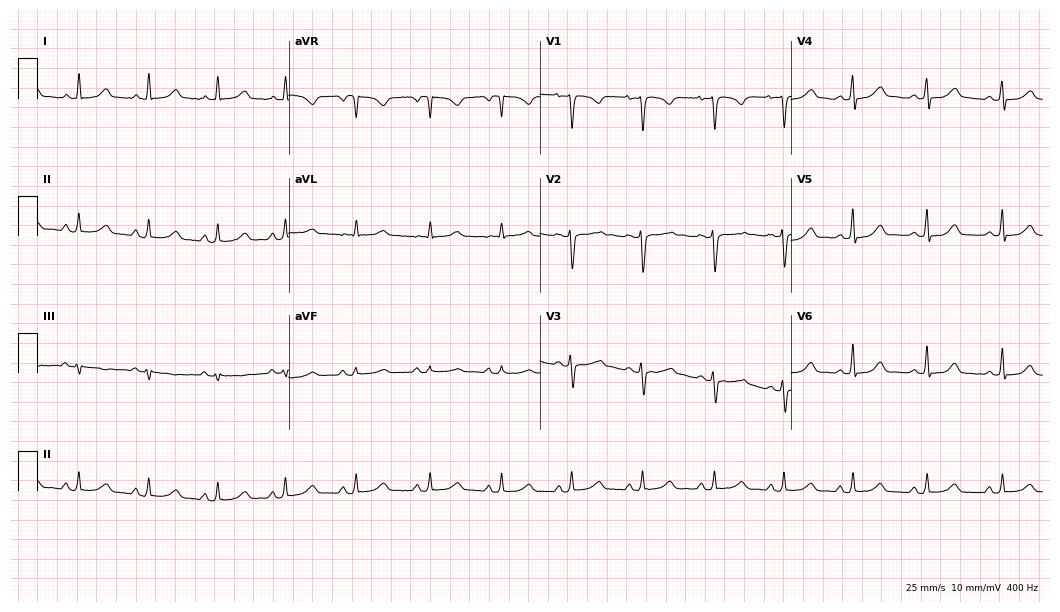
Standard 12-lead ECG recorded from a 35-year-old female (10.2-second recording at 400 Hz). Read as a normal ECG.